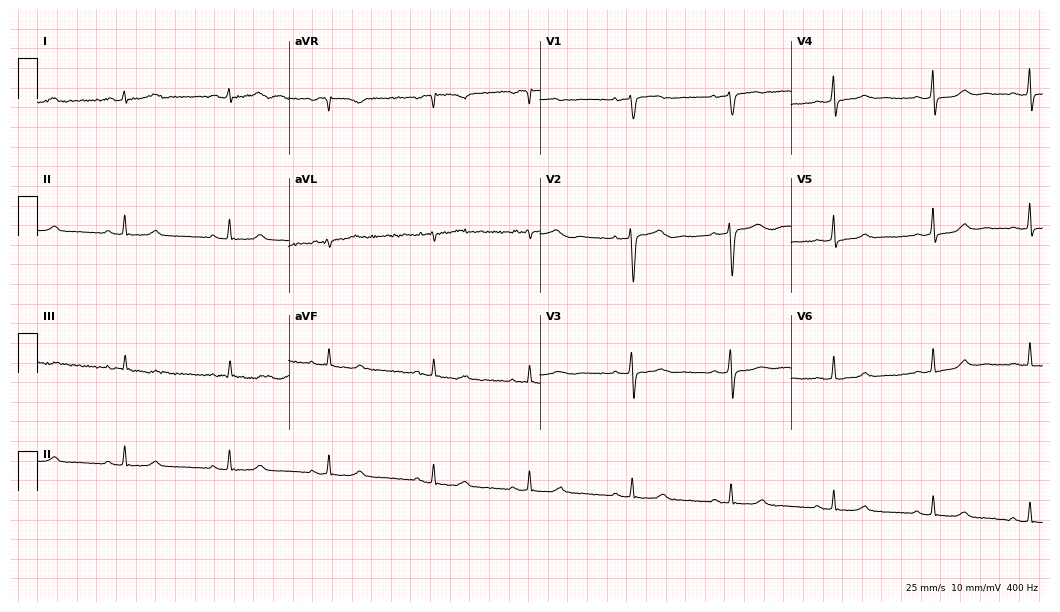
12-lead ECG from a 25-year-old female patient (10.2-second recording at 400 Hz). Recorded interpretation: within normal limits.